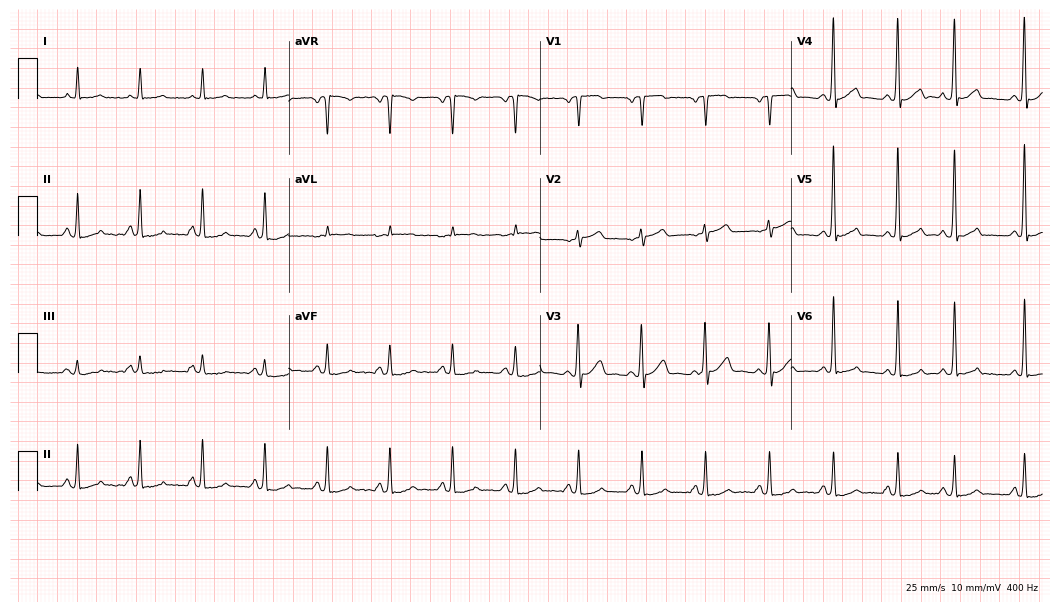
12-lead ECG from an 85-year-old man. Screened for six findings — first-degree AV block, right bundle branch block (RBBB), left bundle branch block (LBBB), sinus bradycardia, atrial fibrillation (AF), sinus tachycardia — none is recorded. Other findings, if any, are not listed.